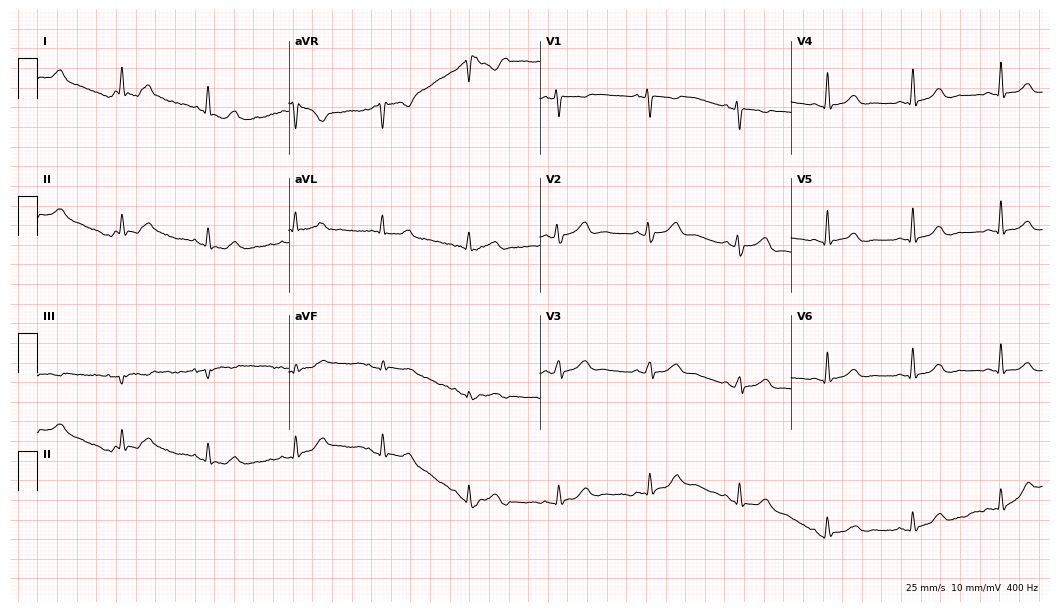
Standard 12-lead ECG recorded from a female, 54 years old (10.2-second recording at 400 Hz). None of these six findings is recorded: first-degree AV block, right bundle branch block, left bundle branch block, sinus bradycardia, atrial fibrillation, sinus tachycardia.